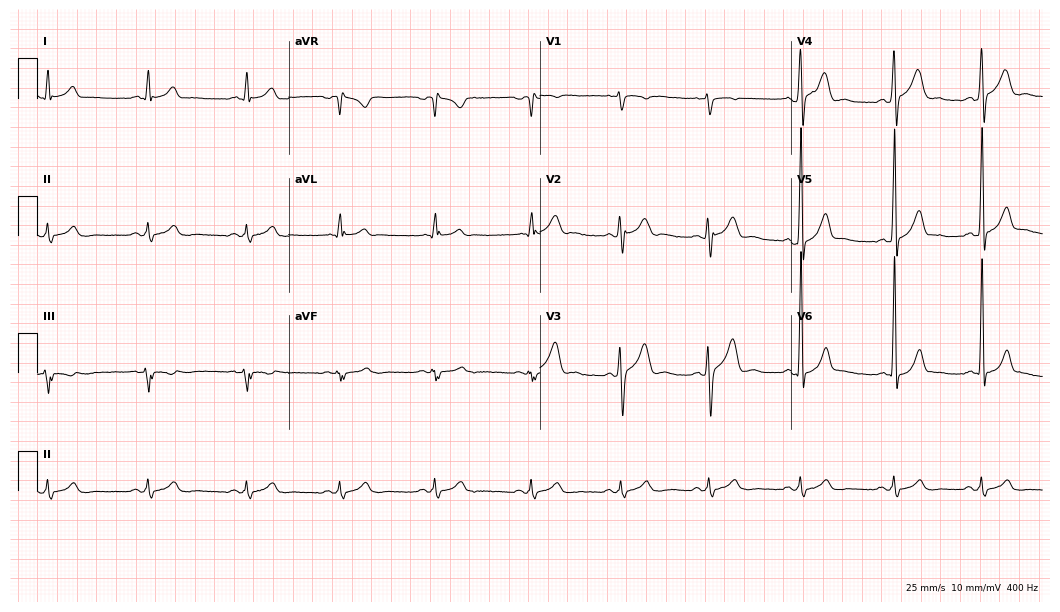
Electrocardiogram, a 21-year-old male. Overall reading on record: normal ECG.